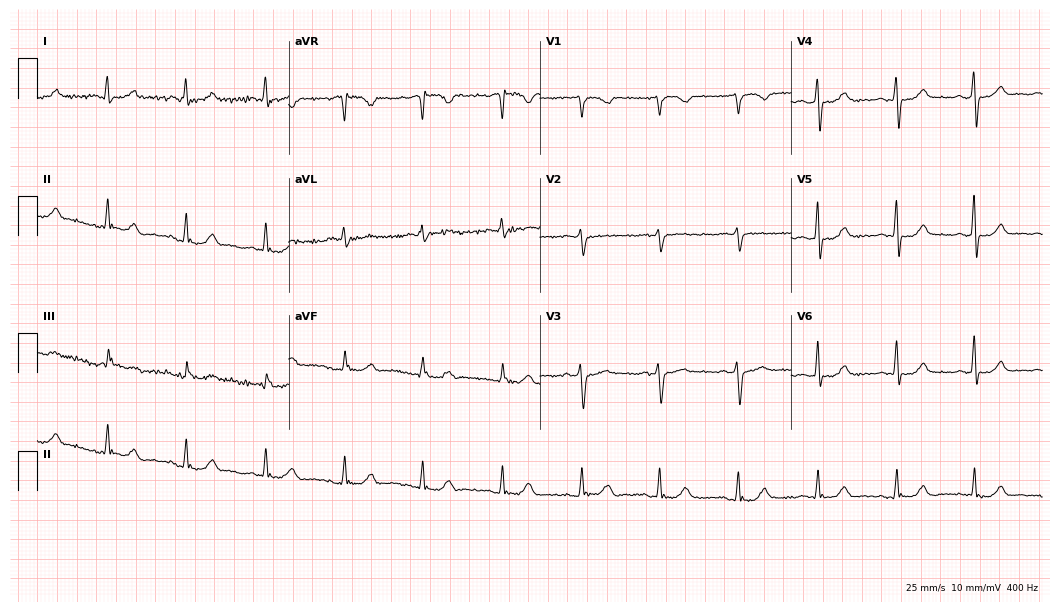
Standard 12-lead ECG recorded from a 62-year-old female (10.2-second recording at 400 Hz). Read as a normal ECG.